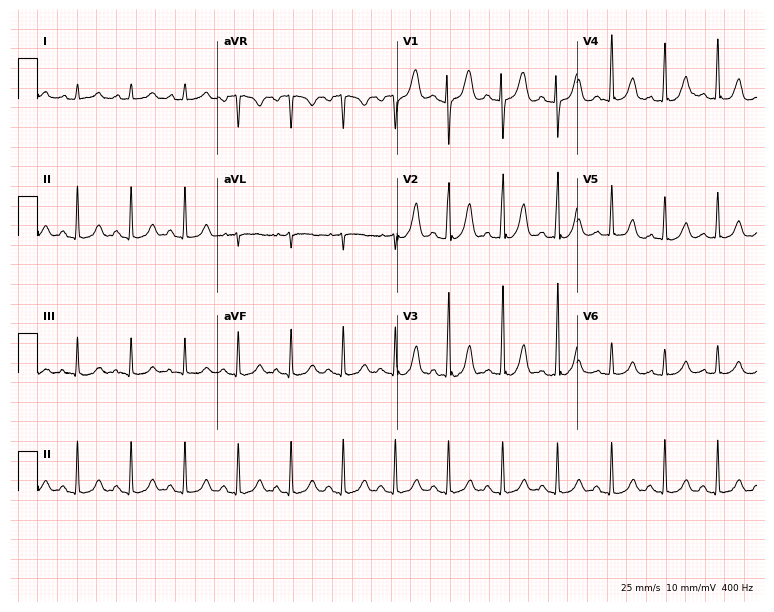
12-lead ECG (7.3-second recording at 400 Hz) from a 20-year-old female patient. Findings include sinus tachycardia (a sinus rate of 100 beats per minute or more).